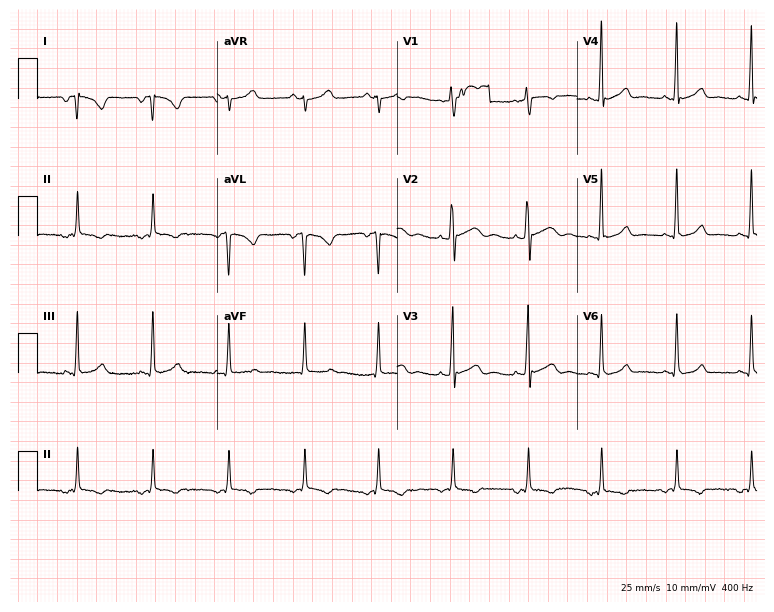
Electrocardiogram, a 25-year-old female patient. Of the six screened findings (first-degree AV block, right bundle branch block, left bundle branch block, sinus bradycardia, atrial fibrillation, sinus tachycardia), none is recorded. Findings outside these six are not listed.